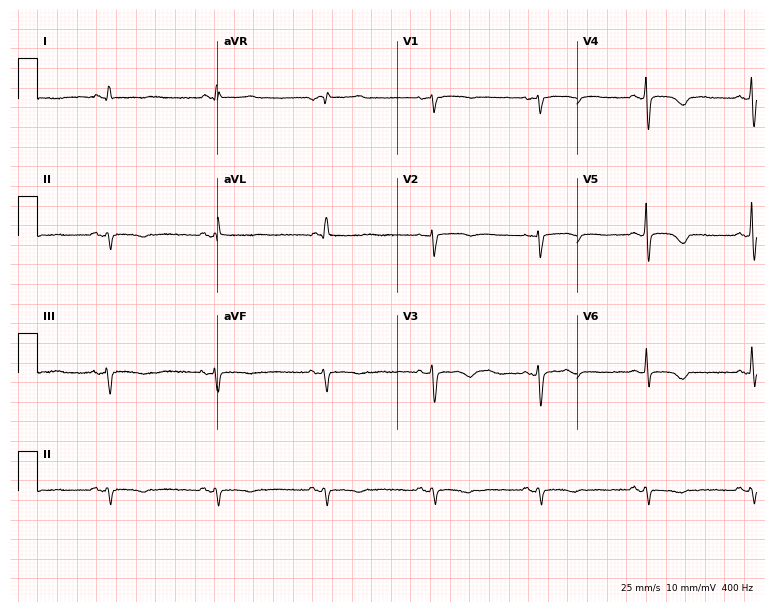
Resting 12-lead electrocardiogram (7.3-second recording at 400 Hz). Patient: a woman, 56 years old. None of these six findings is recorded: first-degree AV block, right bundle branch block, left bundle branch block, sinus bradycardia, atrial fibrillation, sinus tachycardia. Findings outside these six are not listed.